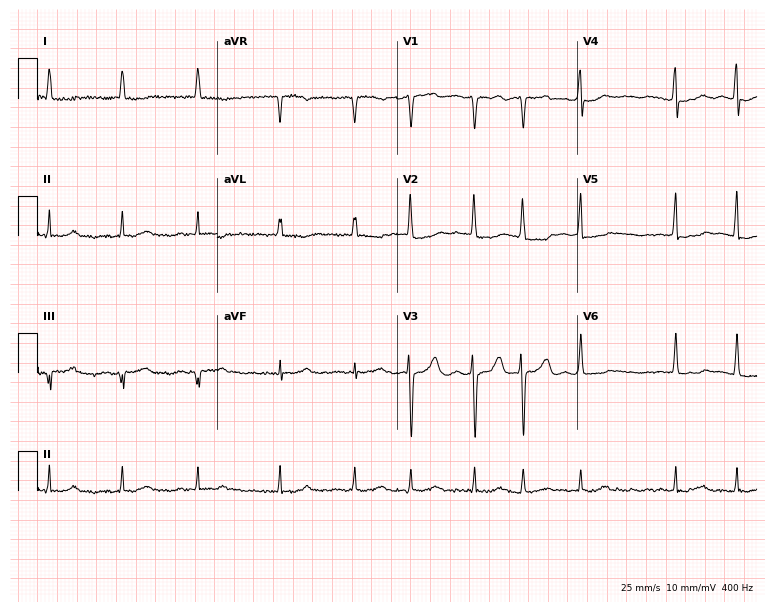
ECG (7.3-second recording at 400 Hz) — a female patient, 81 years old. Findings include atrial fibrillation.